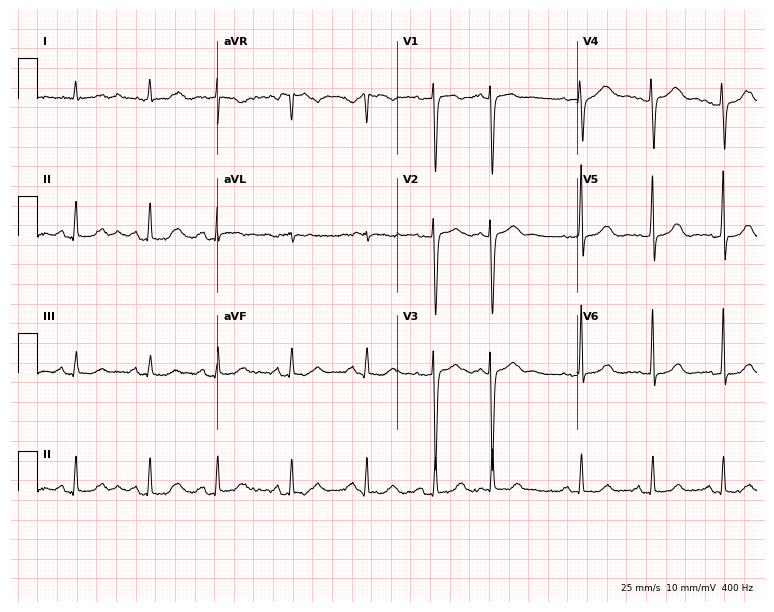
12-lead ECG from a female patient, 76 years old (7.3-second recording at 400 Hz). No first-degree AV block, right bundle branch block, left bundle branch block, sinus bradycardia, atrial fibrillation or sinus tachycardia recorded for this tracing. Other findings, if any, are not listed.